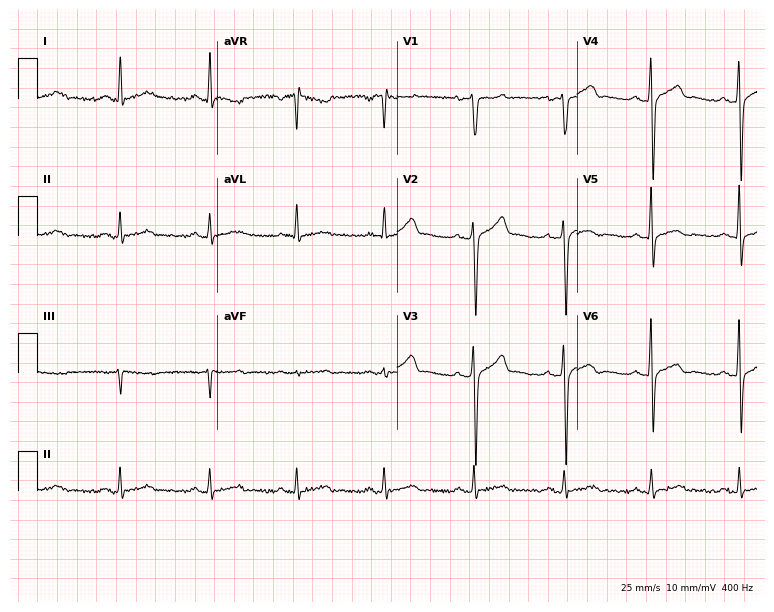
12-lead ECG from a 43-year-old male patient. Recorded interpretation: within normal limits.